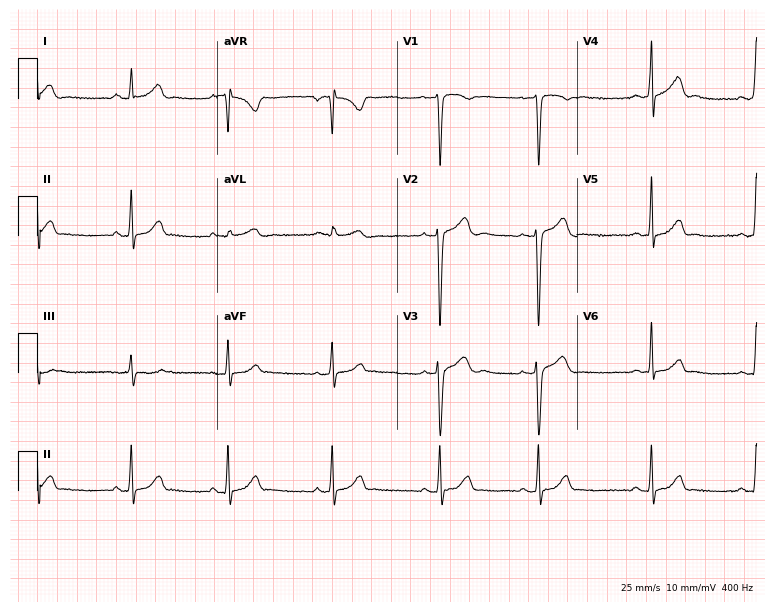
12-lead ECG from a 23-year-old male (7.3-second recording at 400 Hz). No first-degree AV block, right bundle branch block (RBBB), left bundle branch block (LBBB), sinus bradycardia, atrial fibrillation (AF) or sinus tachycardia recorded for this tracing. Findings outside these six are not listed.